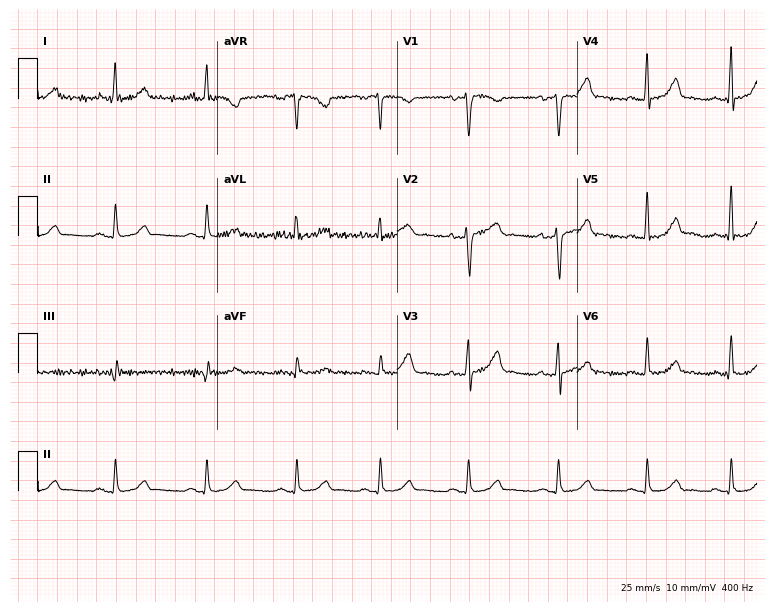
Electrocardiogram, a 32-year-old woman. Overall reading on record: normal ECG.